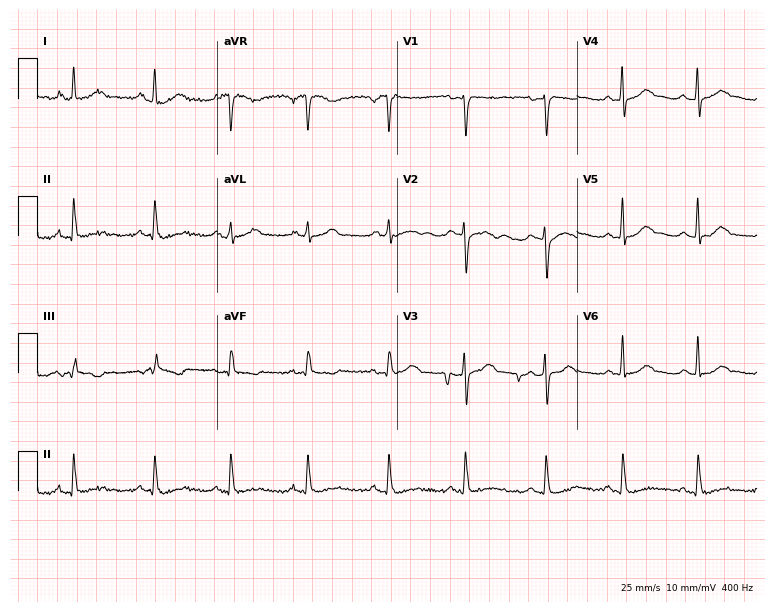
12-lead ECG from a 54-year-old woman. No first-degree AV block, right bundle branch block (RBBB), left bundle branch block (LBBB), sinus bradycardia, atrial fibrillation (AF) or sinus tachycardia recorded for this tracing.